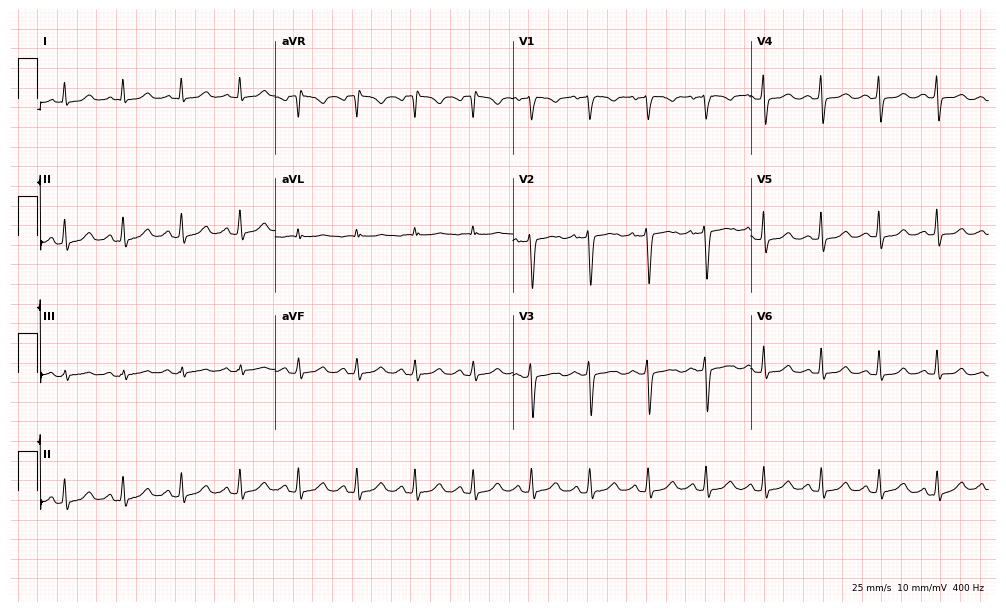
Resting 12-lead electrocardiogram (9.7-second recording at 400 Hz). Patient: a 56-year-old female. None of these six findings is recorded: first-degree AV block, right bundle branch block, left bundle branch block, sinus bradycardia, atrial fibrillation, sinus tachycardia. Only these six findings were labelled.